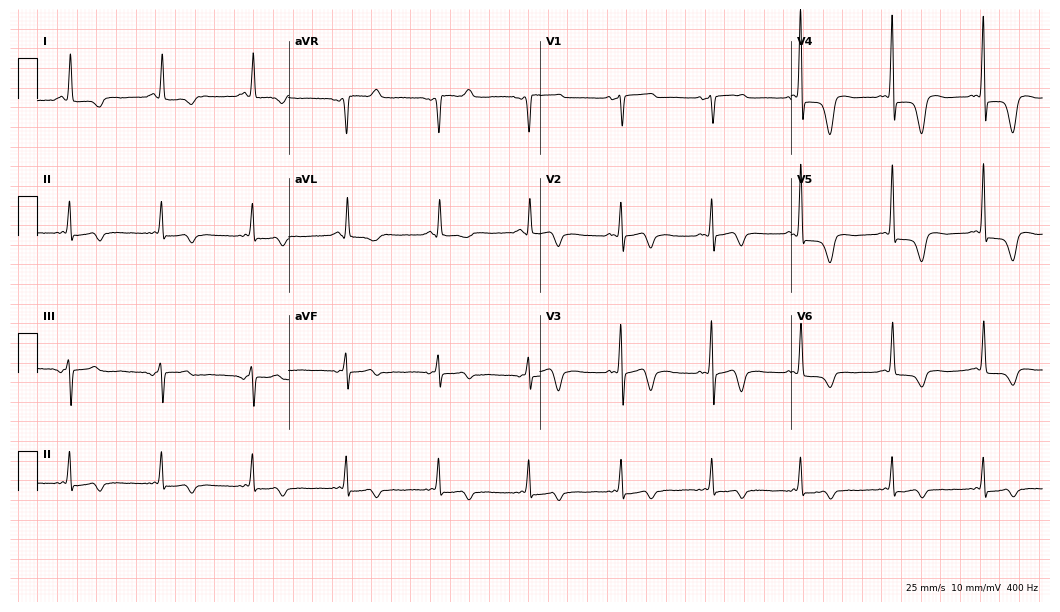
12-lead ECG from a female, 69 years old. Screened for six findings — first-degree AV block, right bundle branch block, left bundle branch block, sinus bradycardia, atrial fibrillation, sinus tachycardia — none is recorded.